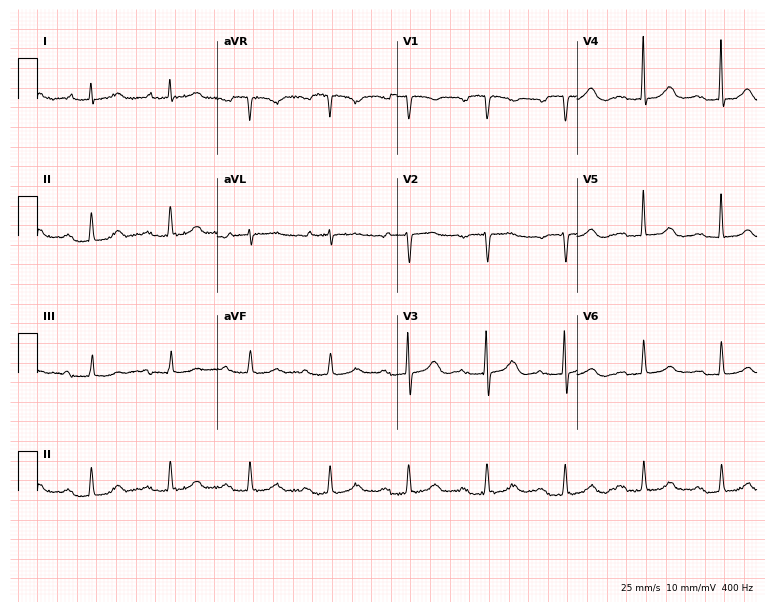
12-lead ECG from a female, 84 years old (7.3-second recording at 400 Hz). Recorded interpretation: within normal limits.